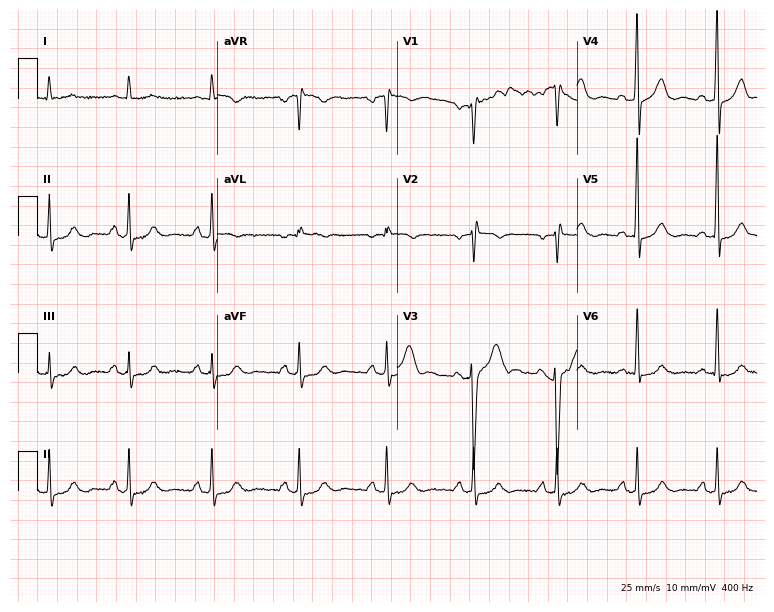
Resting 12-lead electrocardiogram (7.3-second recording at 400 Hz). Patient: a male, 54 years old. Read as a normal ECG.